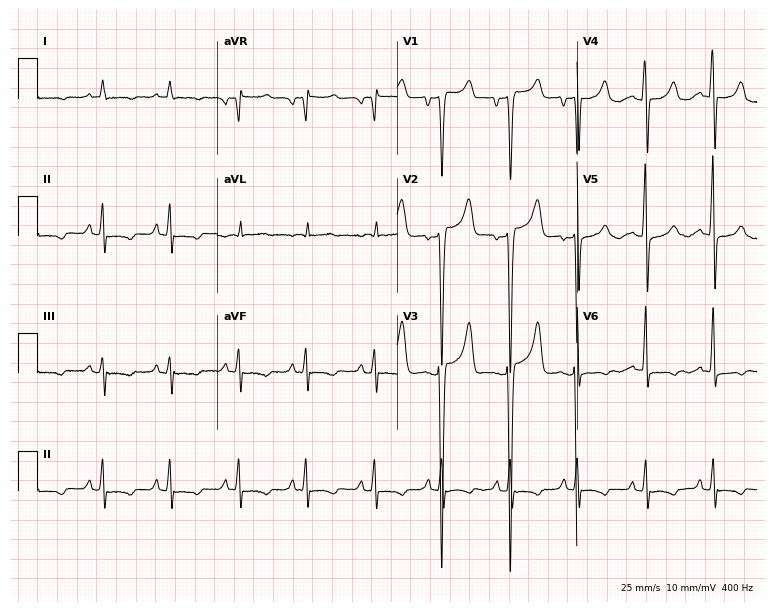
ECG (7.3-second recording at 400 Hz) — a 38-year-old female patient. Screened for six findings — first-degree AV block, right bundle branch block, left bundle branch block, sinus bradycardia, atrial fibrillation, sinus tachycardia — none is recorded. Only these six findings were labelled.